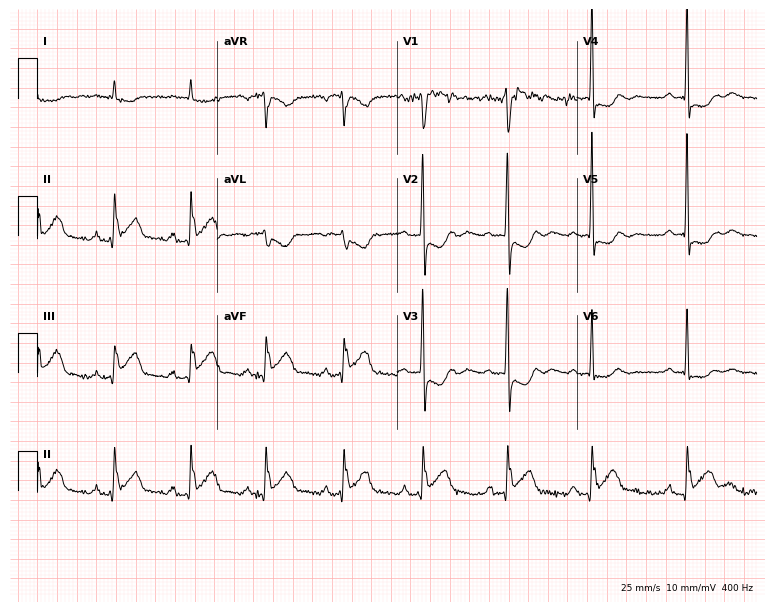
Resting 12-lead electrocardiogram (7.3-second recording at 400 Hz). Patient: a female, 68 years old. None of these six findings is recorded: first-degree AV block, right bundle branch block (RBBB), left bundle branch block (LBBB), sinus bradycardia, atrial fibrillation (AF), sinus tachycardia. Findings outside these six are not listed.